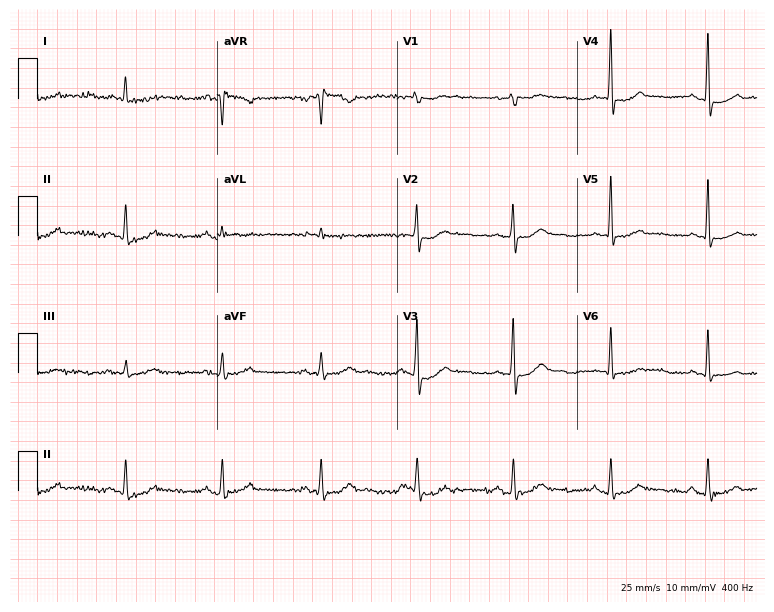
12-lead ECG (7.3-second recording at 400 Hz) from a 68-year-old female patient. Screened for six findings — first-degree AV block, right bundle branch block, left bundle branch block, sinus bradycardia, atrial fibrillation, sinus tachycardia — none is recorded.